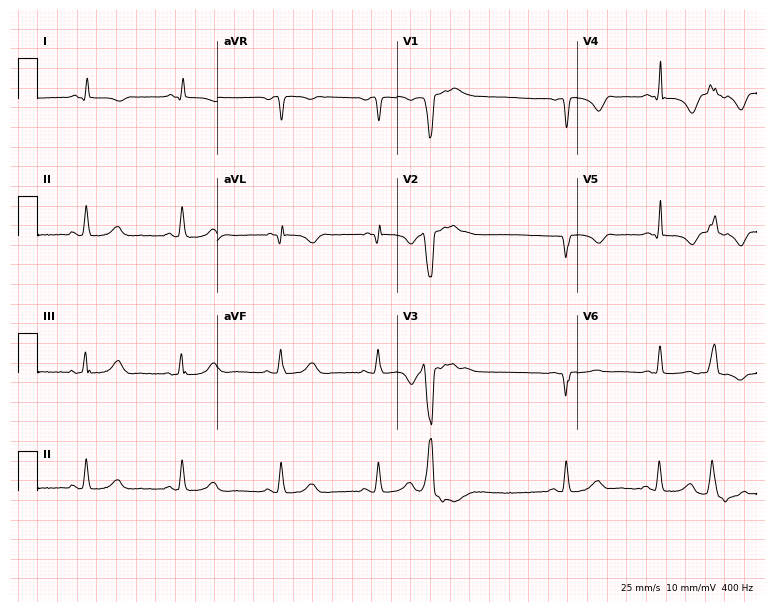
Resting 12-lead electrocardiogram (7.3-second recording at 400 Hz). Patient: a 69-year-old man. None of these six findings is recorded: first-degree AV block, right bundle branch block, left bundle branch block, sinus bradycardia, atrial fibrillation, sinus tachycardia. Only these six findings were labelled.